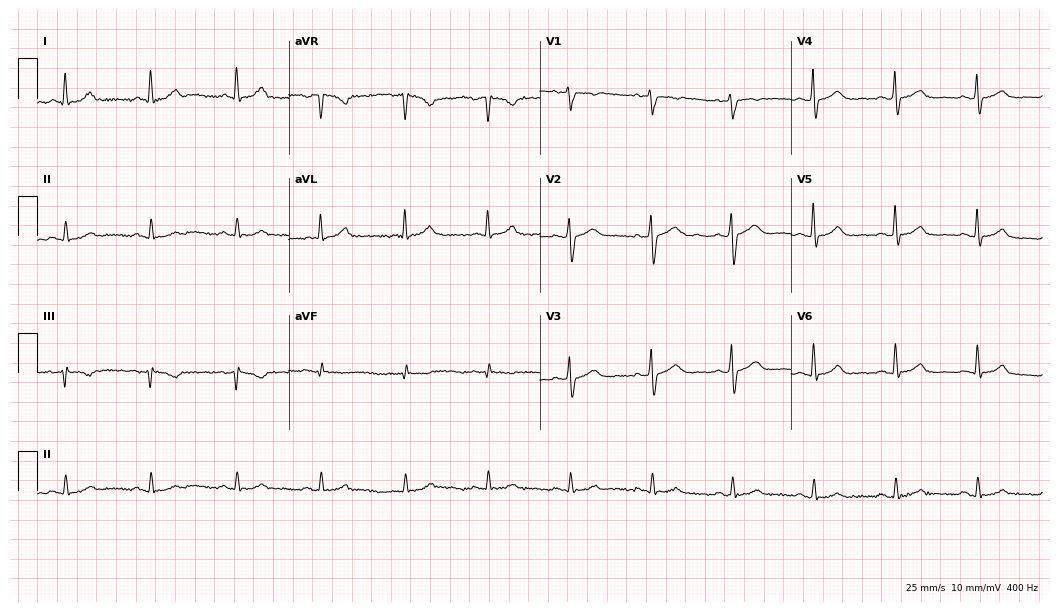
12-lead ECG from a man, 50 years old (10.2-second recording at 400 Hz). No first-degree AV block, right bundle branch block, left bundle branch block, sinus bradycardia, atrial fibrillation or sinus tachycardia recorded for this tracing.